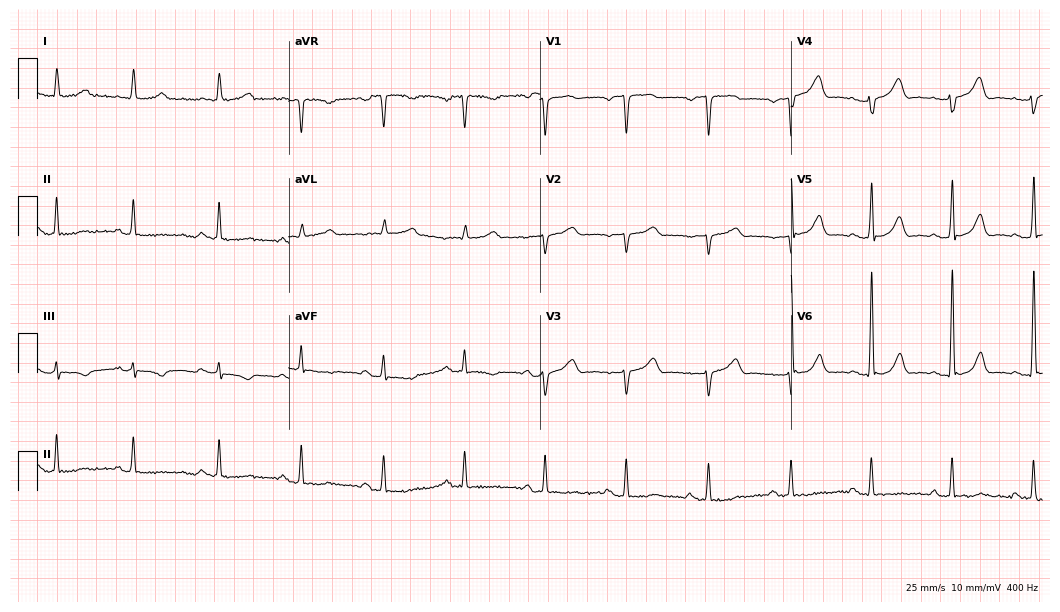
12-lead ECG from a male, 62 years old. Screened for six findings — first-degree AV block, right bundle branch block (RBBB), left bundle branch block (LBBB), sinus bradycardia, atrial fibrillation (AF), sinus tachycardia — none is recorded. Findings outside these six are not listed.